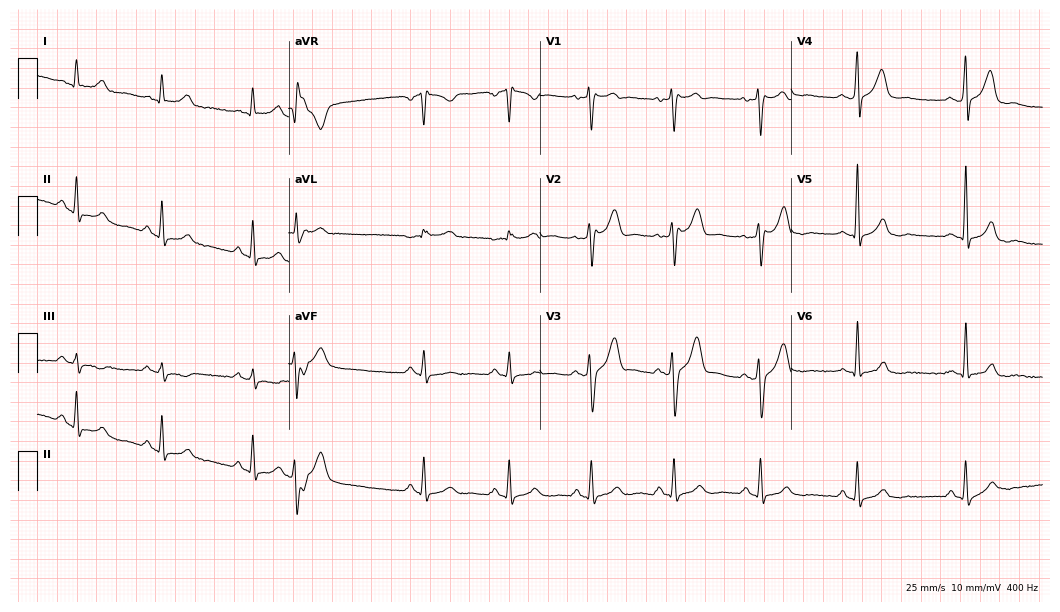
12-lead ECG from a male, 42 years old. No first-degree AV block, right bundle branch block (RBBB), left bundle branch block (LBBB), sinus bradycardia, atrial fibrillation (AF) or sinus tachycardia recorded for this tracing. Findings outside these six are not listed.